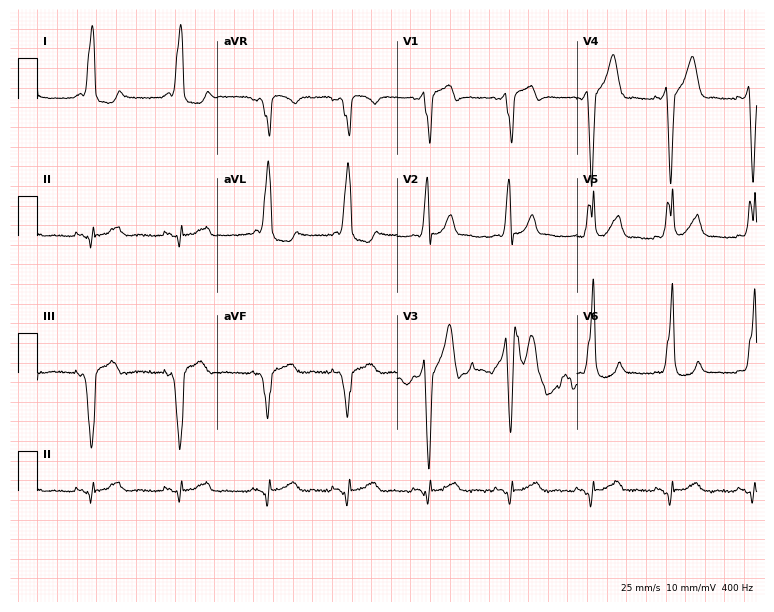
12-lead ECG from a male, 41 years old (7.3-second recording at 400 Hz). No first-degree AV block, right bundle branch block (RBBB), left bundle branch block (LBBB), sinus bradycardia, atrial fibrillation (AF) or sinus tachycardia recorded for this tracing. Other findings, if any, are not listed.